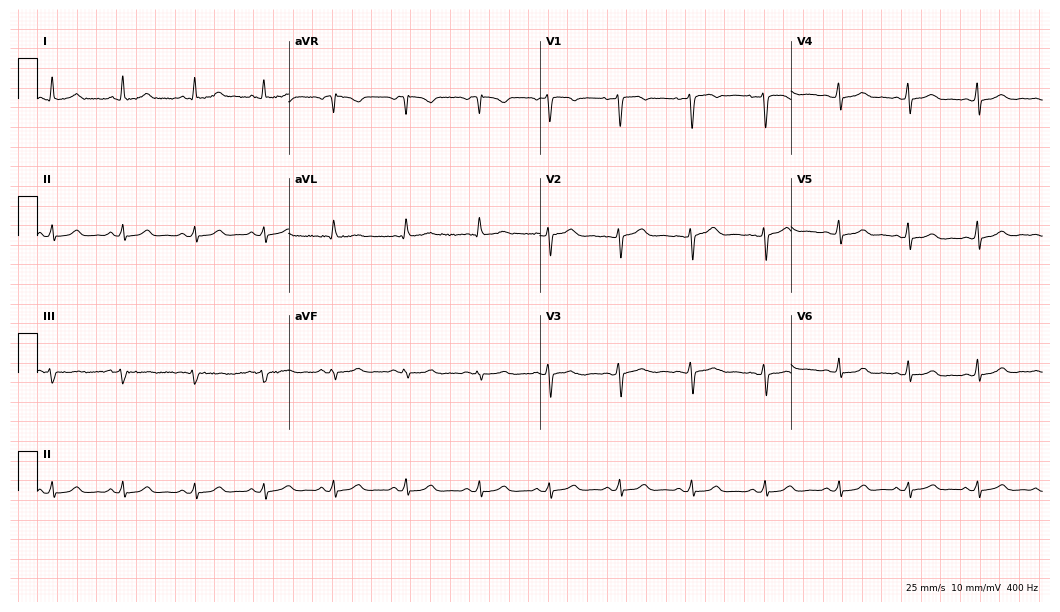
Standard 12-lead ECG recorded from a female patient, 35 years old (10.2-second recording at 400 Hz). Read as a normal ECG.